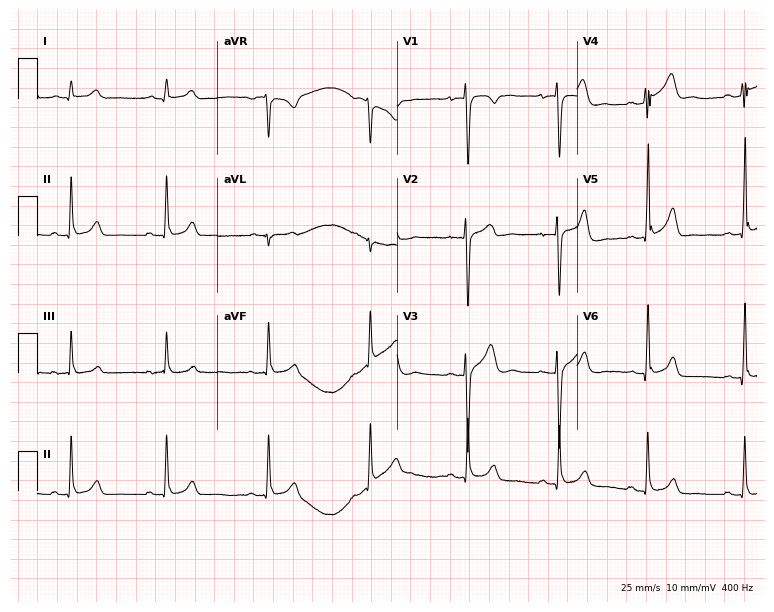
Resting 12-lead electrocardiogram. Patient: a male, 19 years old. None of these six findings is recorded: first-degree AV block, right bundle branch block, left bundle branch block, sinus bradycardia, atrial fibrillation, sinus tachycardia.